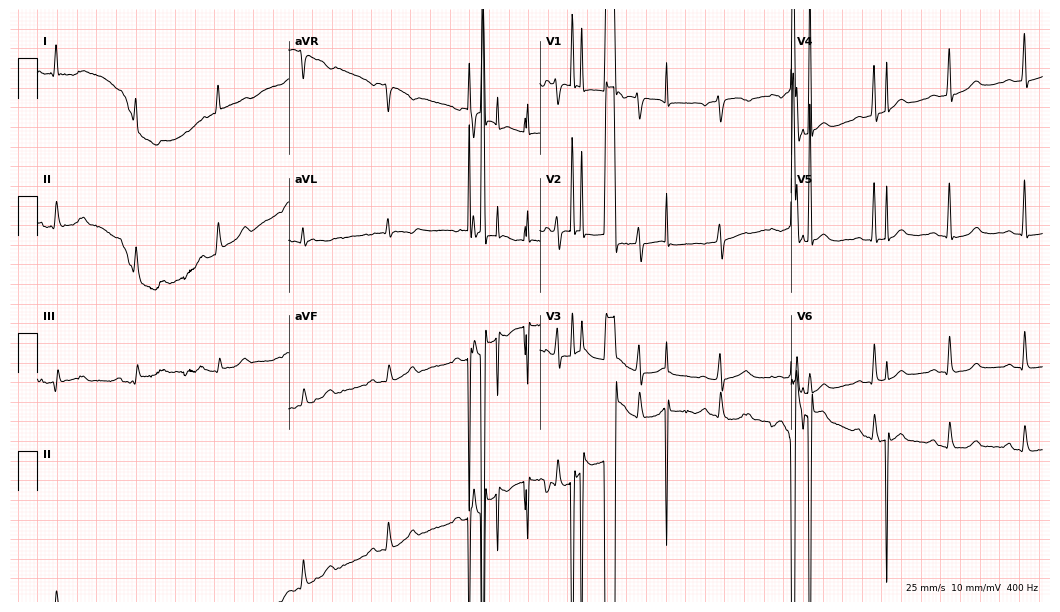
12-lead ECG from a 74-year-old female. No first-degree AV block, right bundle branch block, left bundle branch block, sinus bradycardia, atrial fibrillation or sinus tachycardia recorded for this tracing.